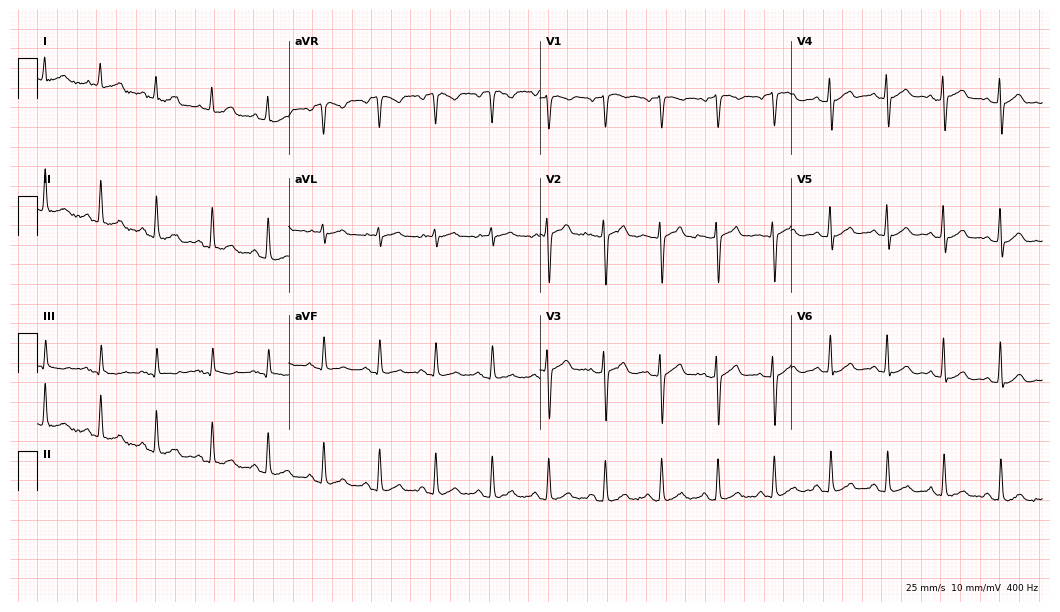
Electrocardiogram (10.2-second recording at 400 Hz), a 69-year-old male. Of the six screened findings (first-degree AV block, right bundle branch block (RBBB), left bundle branch block (LBBB), sinus bradycardia, atrial fibrillation (AF), sinus tachycardia), none is recorded.